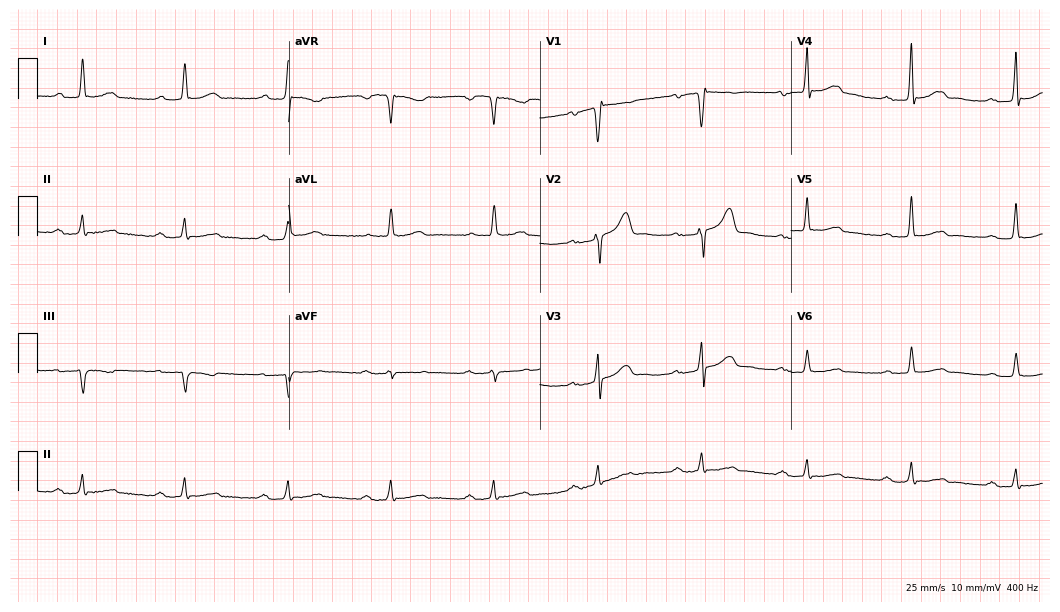
ECG — a man, 53 years old. Findings include first-degree AV block.